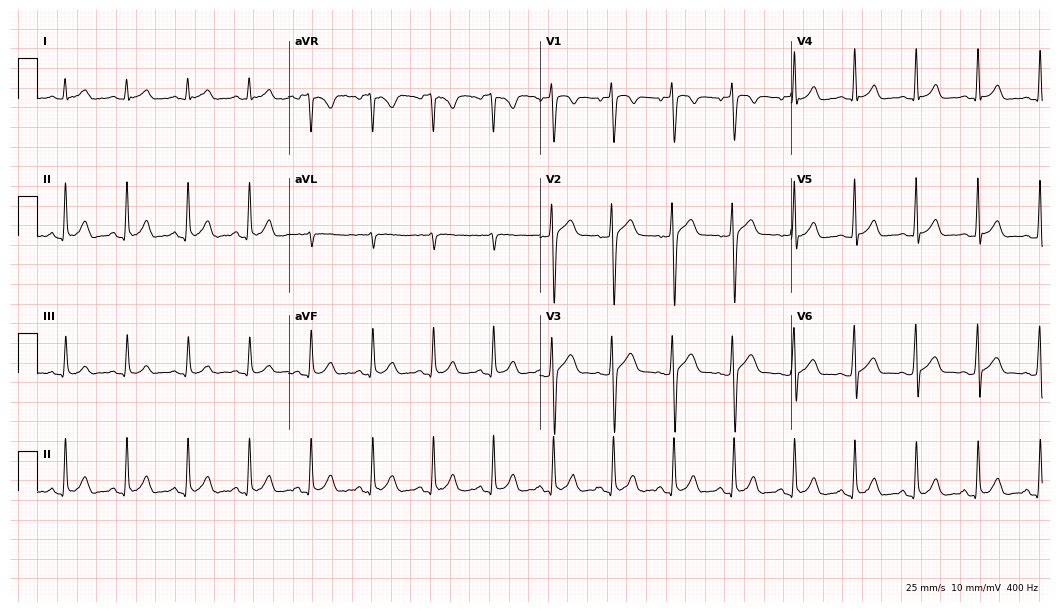
12-lead ECG from a male patient, 28 years old. Labelled as a normal ECG.